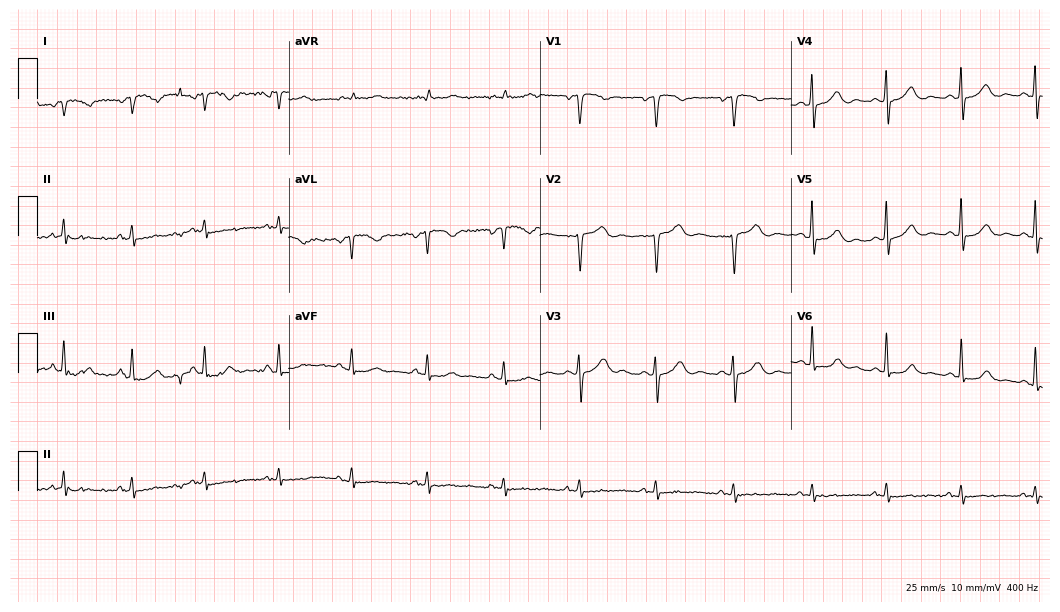
Electrocardiogram, a female, 54 years old. Of the six screened findings (first-degree AV block, right bundle branch block (RBBB), left bundle branch block (LBBB), sinus bradycardia, atrial fibrillation (AF), sinus tachycardia), none is recorded. Only these six findings were labelled.